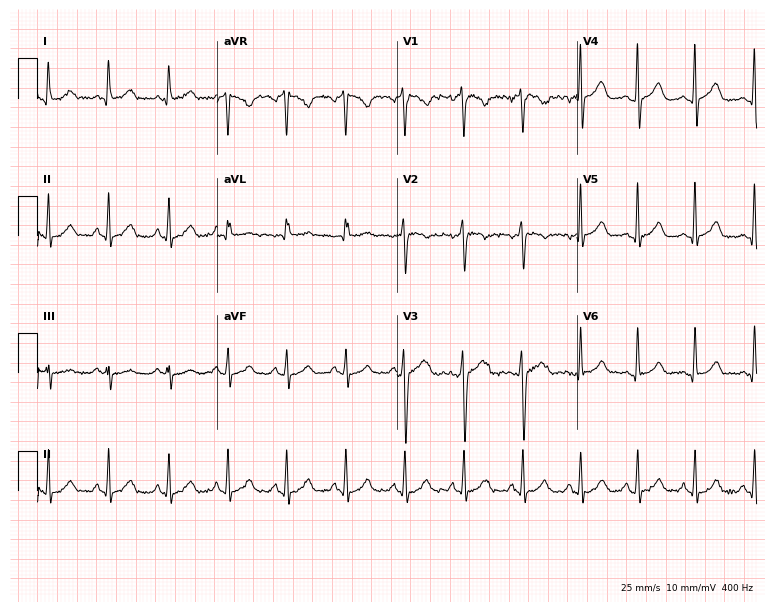
12-lead ECG (7.3-second recording at 400 Hz) from a 26-year-old female patient. Screened for six findings — first-degree AV block, right bundle branch block, left bundle branch block, sinus bradycardia, atrial fibrillation, sinus tachycardia — none is recorded. Only these six findings were labelled.